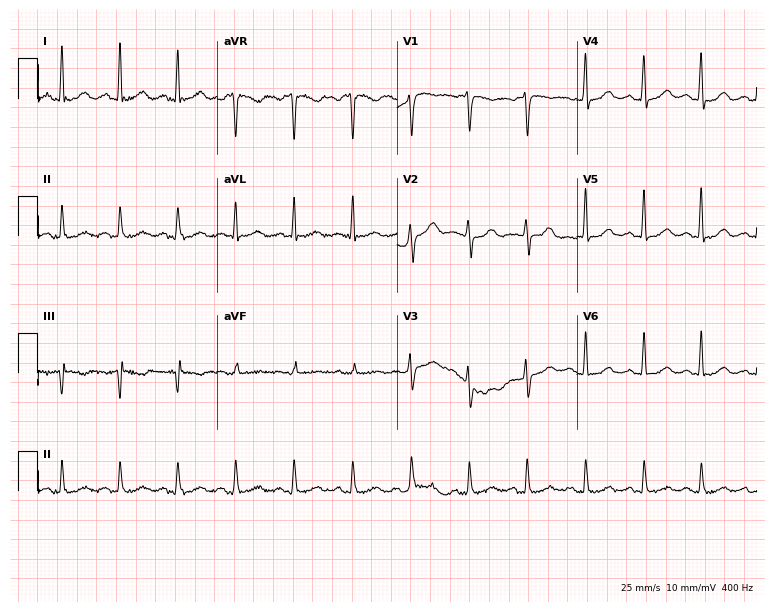
ECG (7.3-second recording at 400 Hz) — a 41-year-old female patient. Labelled as a normal ECG.